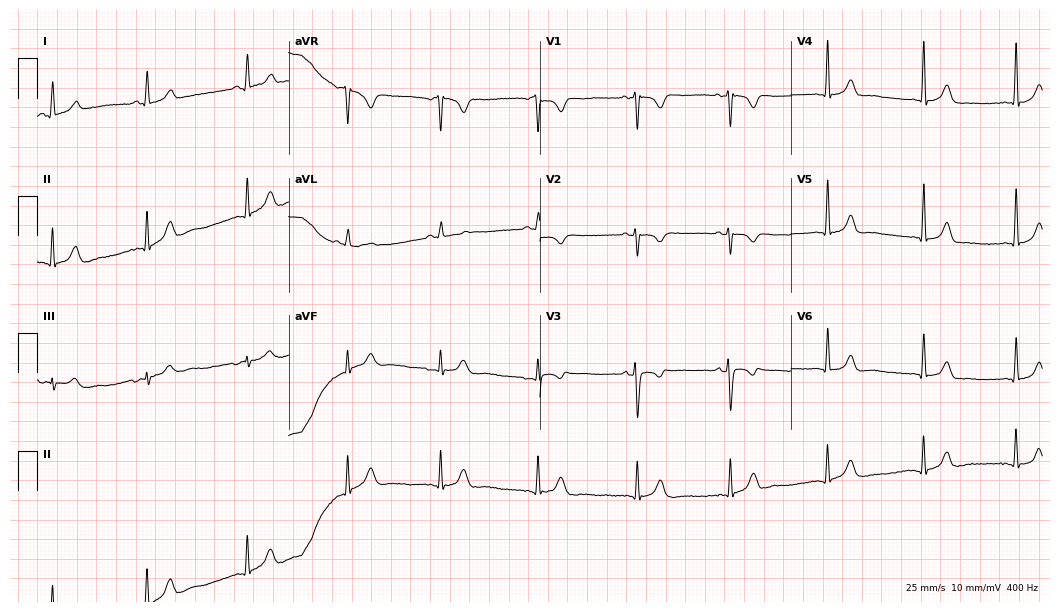
Electrocardiogram (10.2-second recording at 400 Hz), a female, 23 years old. Of the six screened findings (first-degree AV block, right bundle branch block, left bundle branch block, sinus bradycardia, atrial fibrillation, sinus tachycardia), none is recorded.